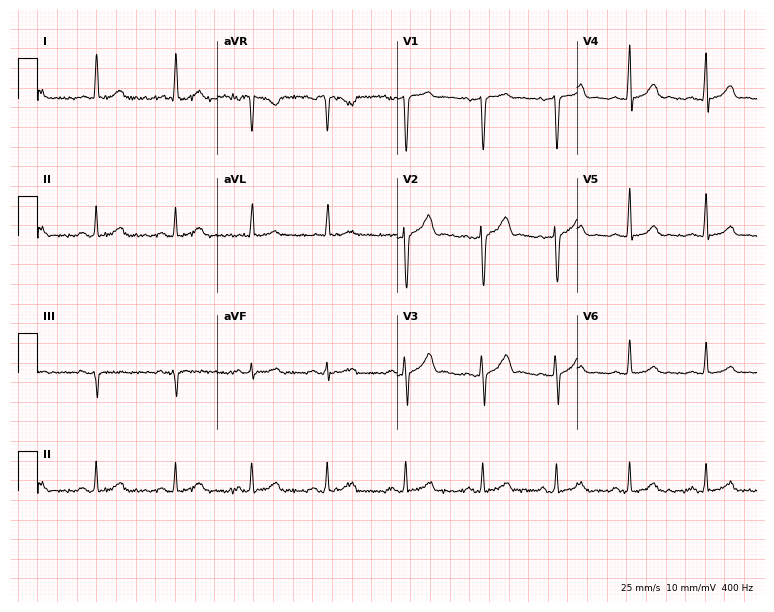
12-lead ECG from a 37-year-old man (7.3-second recording at 400 Hz). Recorded interpretation: within normal limits.